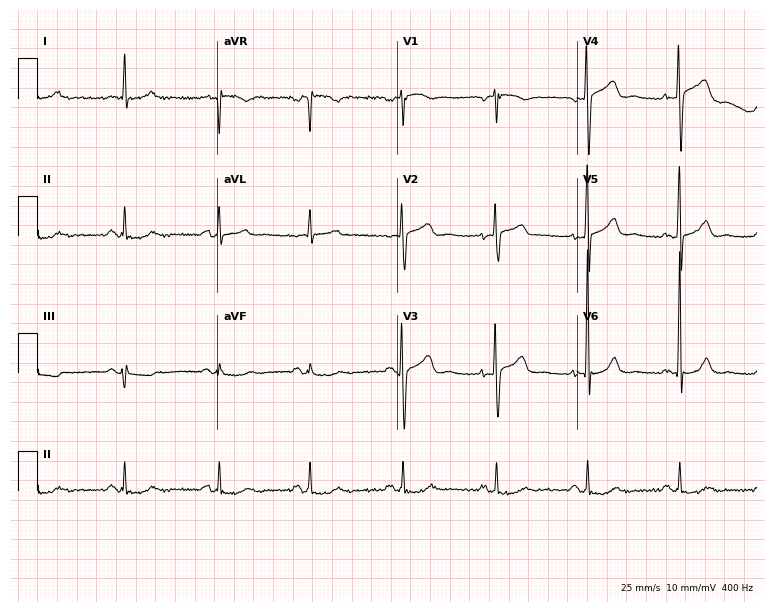
12-lead ECG from a 78-year-old male patient. No first-degree AV block, right bundle branch block (RBBB), left bundle branch block (LBBB), sinus bradycardia, atrial fibrillation (AF) or sinus tachycardia recorded for this tracing. Findings outside these six are not listed.